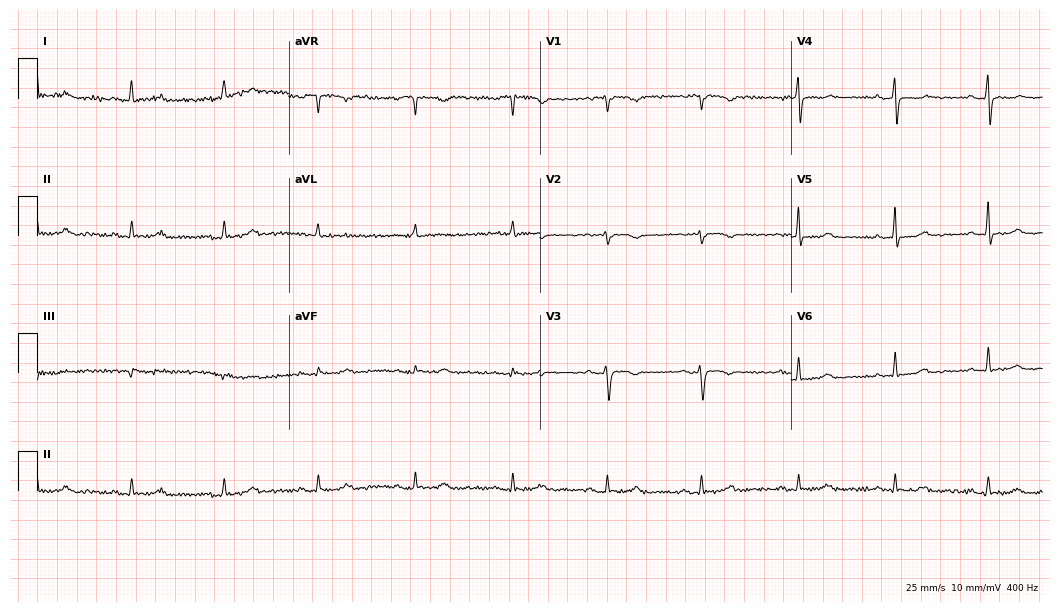
ECG — a female patient, 52 years old. Screened for six findings — first-degree AV block, right bundle branch block (RBBB), left bundle branch block (LBBB), sinus bradycardia, atrial fibrillation (AF), sinus tachycardia — none is recorded.